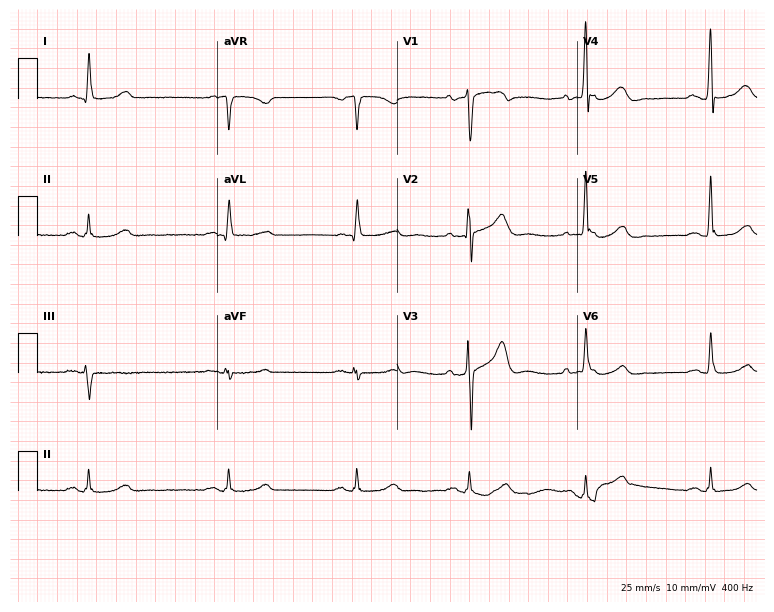
Standard 12-lead ECG recorded from a male patient, 62 years old. The tracing shows sinus bradycardia (a sinus rate of 50 beats per minute or less).